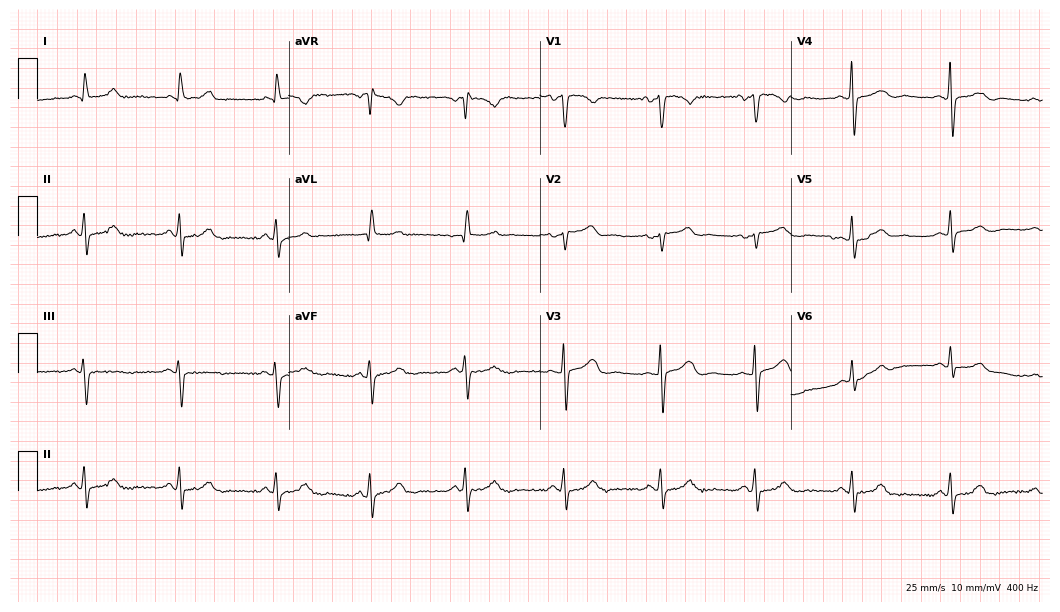
Resting 12-lead electrocardiogram. Patient: a 67-year-old woman. None of these six findings is recorded: first-degree AV block, right bundle branch block, left bundle branch block, sinus bradycardia, atrial fibrillation, sinus tachycardia. Findings outside these six are not listed.